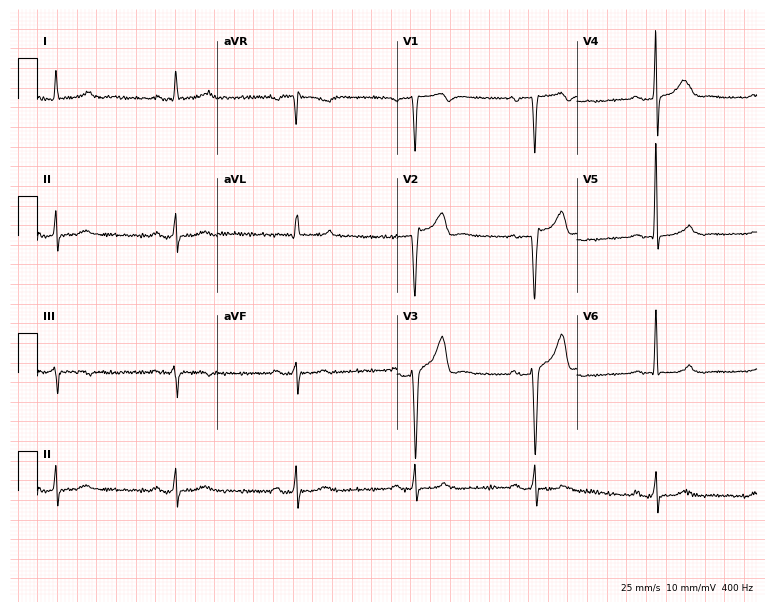
12-lead ECG from a 75-year-old male (7.3-second recording at 400 Hz). Shows first-degree AV block, sinus bradycardia (a sinus rate of 50 beats per minute or less).